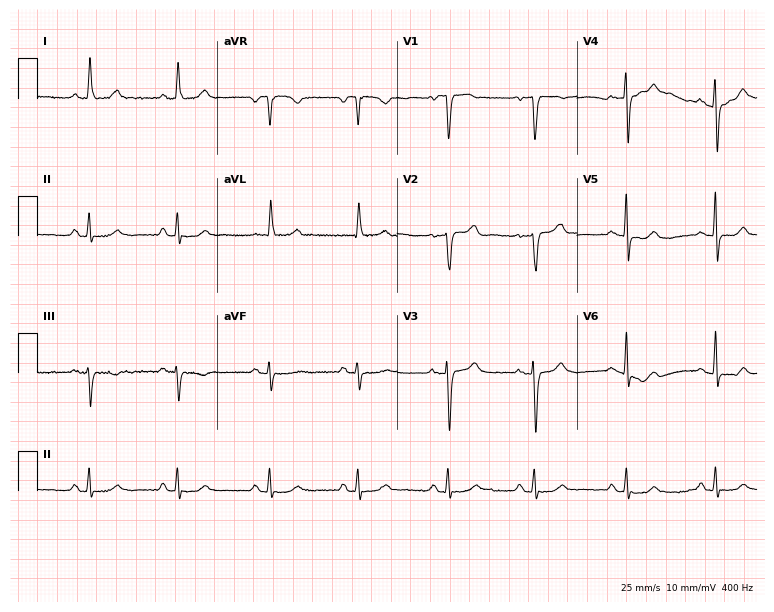
12-lead ECG from a woman, 67 years old. No first-degree AV block, right bundle branch block (RBBB), left bundle branch block (LBBB), sinus bradycardia, atrial fibrillation (AF) or sinus tachycardia recorded for this tracing. Other findings, if any, are not listed.